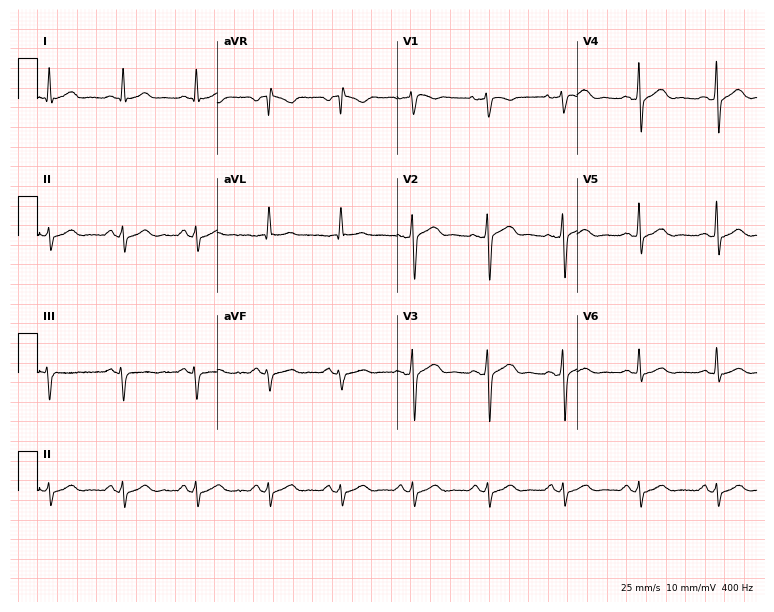
12-lead ECG from a male patient, 56 years old (7.3-second recording at 400 Hz). No first-degree AV block, right bundle branch block, left bundle branch block, sinus bradycardia, atrial fibrillation or sinus tachycardia recorded for this tracing.